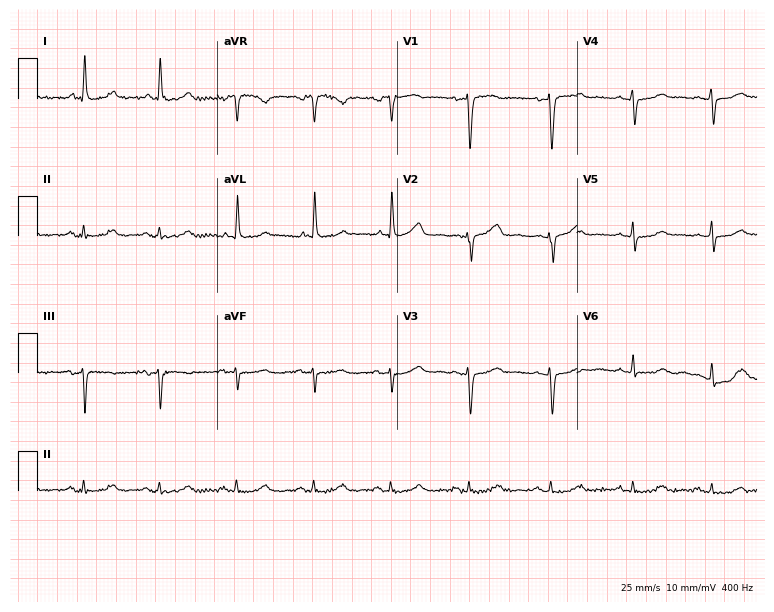
ECG (7.3-second recording at 400 Hz) — a 73-year-old female patient. Labelled as a normal ECG.